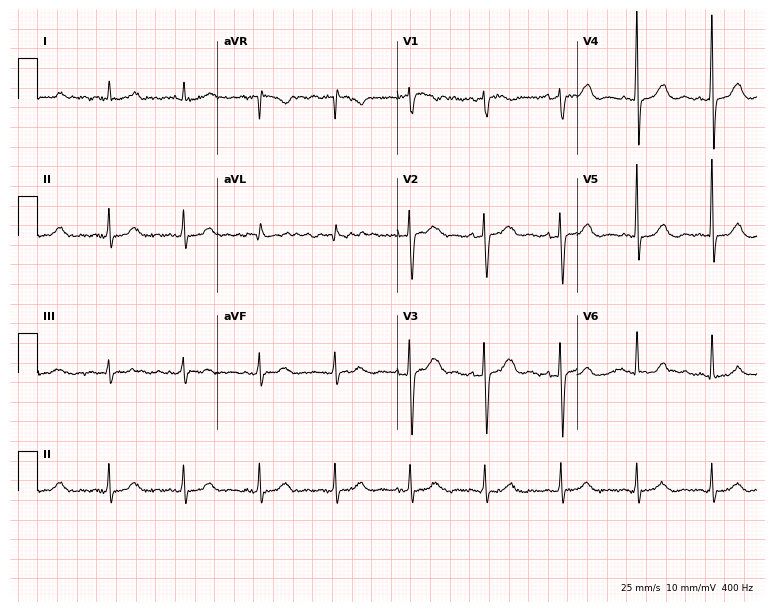
Standard 12-lead ECG recorded from a female patient, 67 years old (7.3-second recording at 400 Hz). None of these six findings is recorded: first-degree AV block, right bundle branch block (RBBB), left bundle branch block (LBBB), sinus bradycardia, atrial fibrillation (AF), sinus tachycardia. Other findings, if any, are not listed.